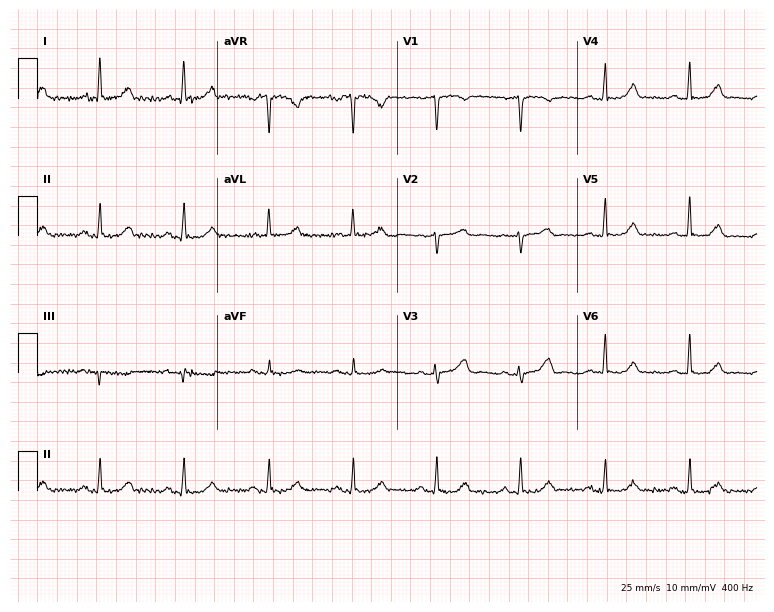
ECG — a woman, 72 years old. Labelled as a normal ECG.